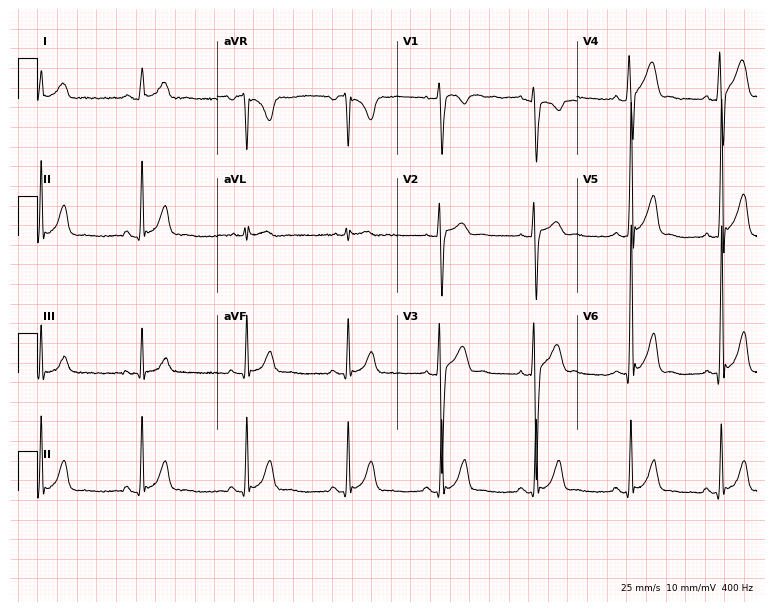
12-lead ECG from a 22-year-old man. Recorded interpretation: within normal limits.